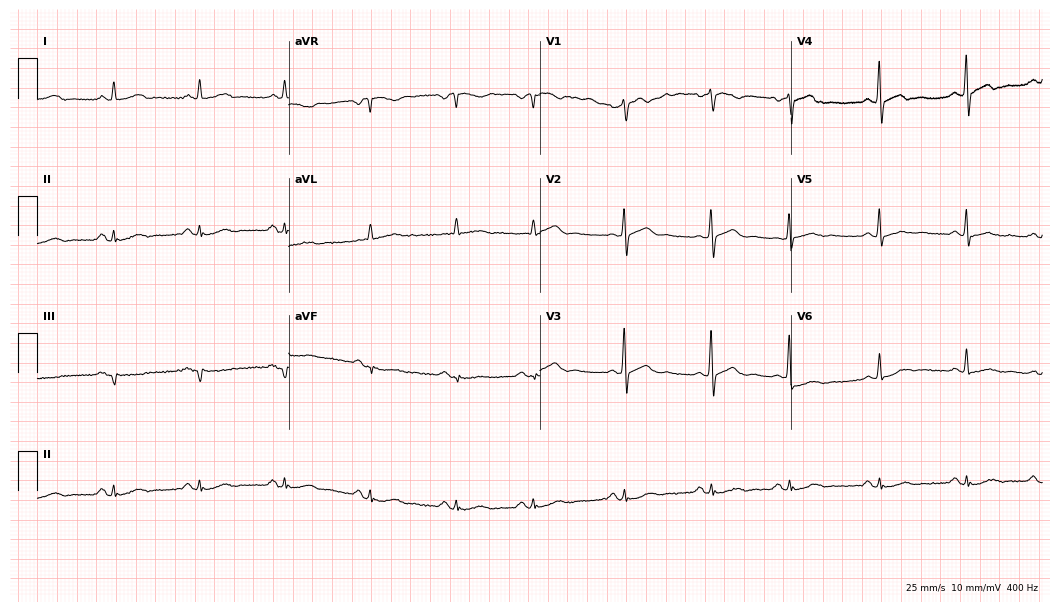
Electrocardiogram (10.2-second recording at 400 Hz), a 73-year-old man. Of the six screened findings (first-degree AV block, right bundle branch block, left bundle branch block, sinus bradycardia, atrial fibrillation, sinus tachycardia), none is recorded.